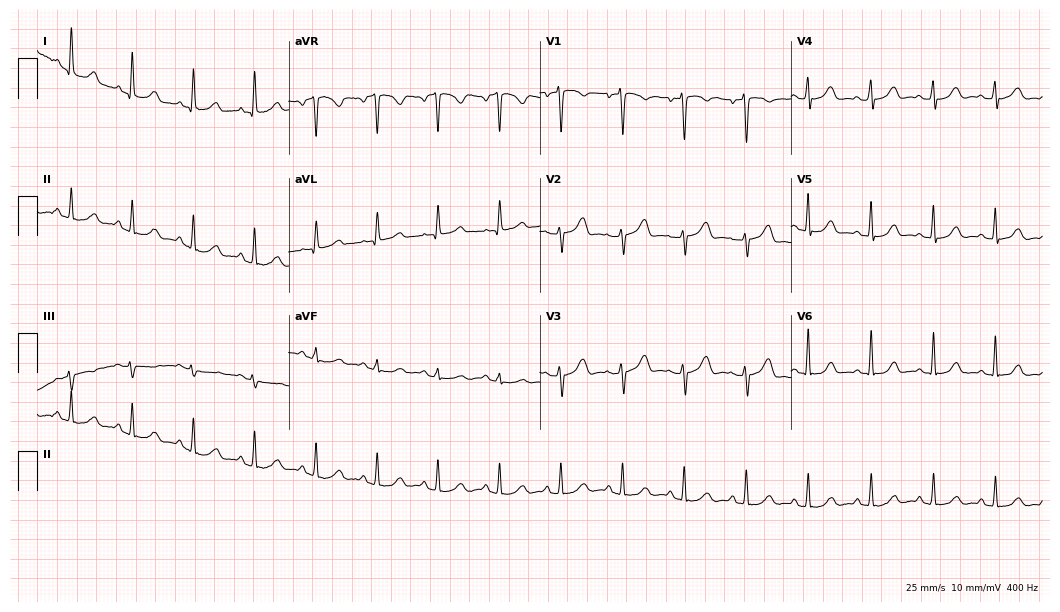
ECG — a female patient, 63 years old. Labelled as a normal ECG.